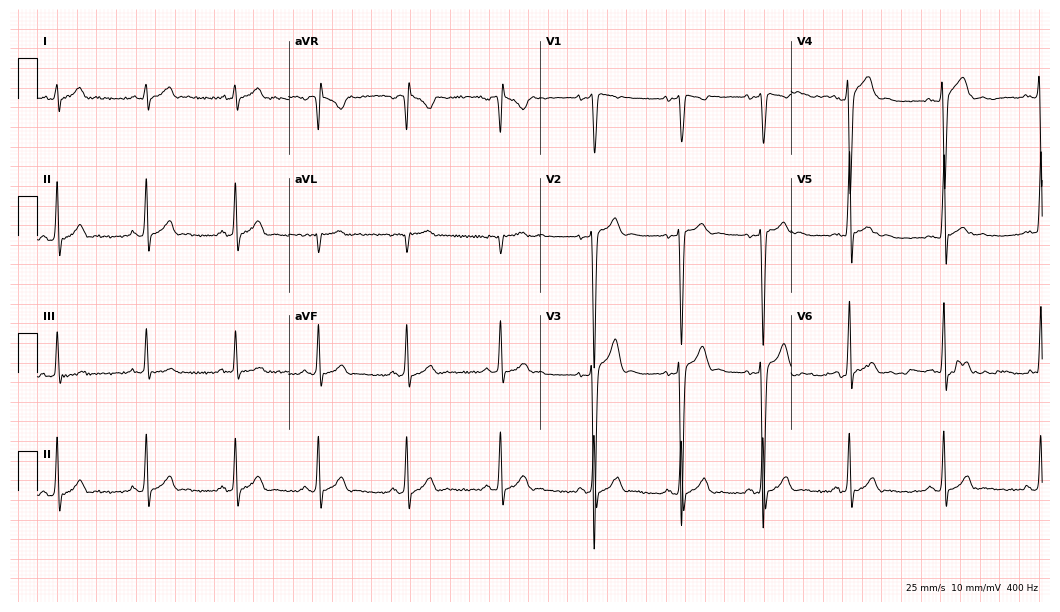
12-lead ECG (10.2-second recording at 400 Hz) from a 17-year-old male. Screened for six findings — first-degree AV block, right bundle branch block, left bundle branch block, sinus bradycardia, atrial fibrillation, sinus tachycardia — none is recorded.